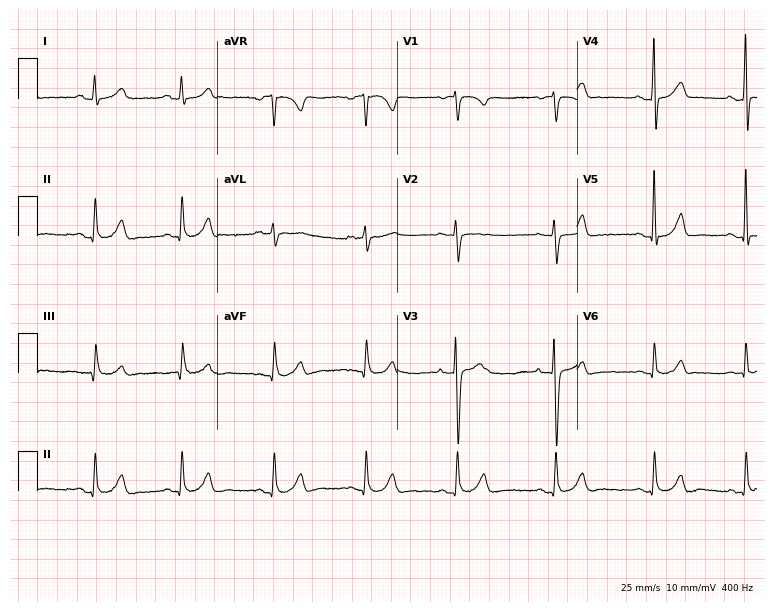
12-lead ECG from a 21-year-old female (7.3-second recording at 400 Hz). Recorded interpretation: within normal limits.